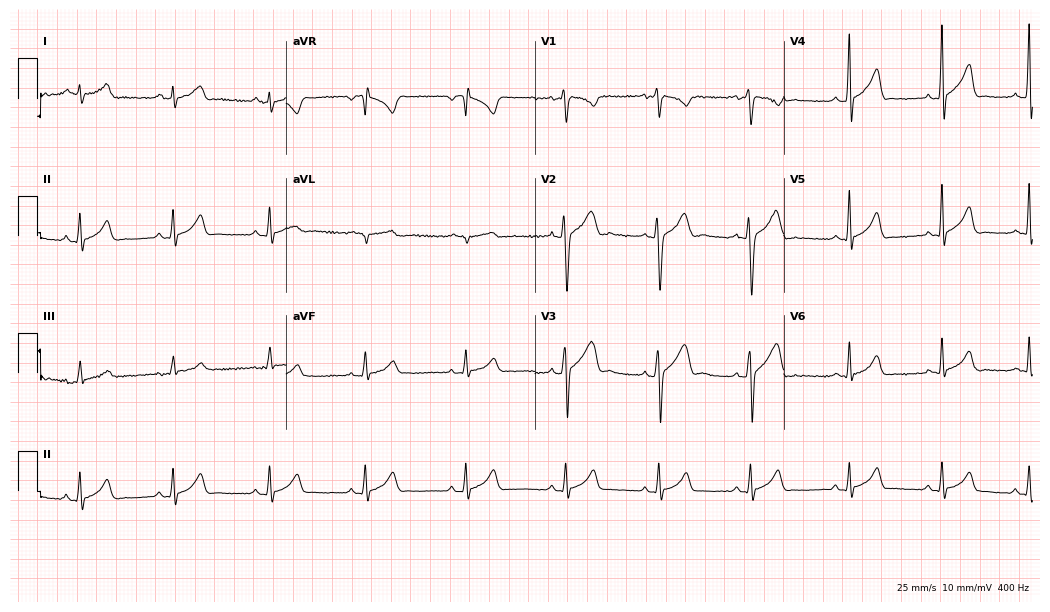
ECG (10.1-second recording at 400 Hz) — a man, 17 years old. Labelled as a normal ECG.